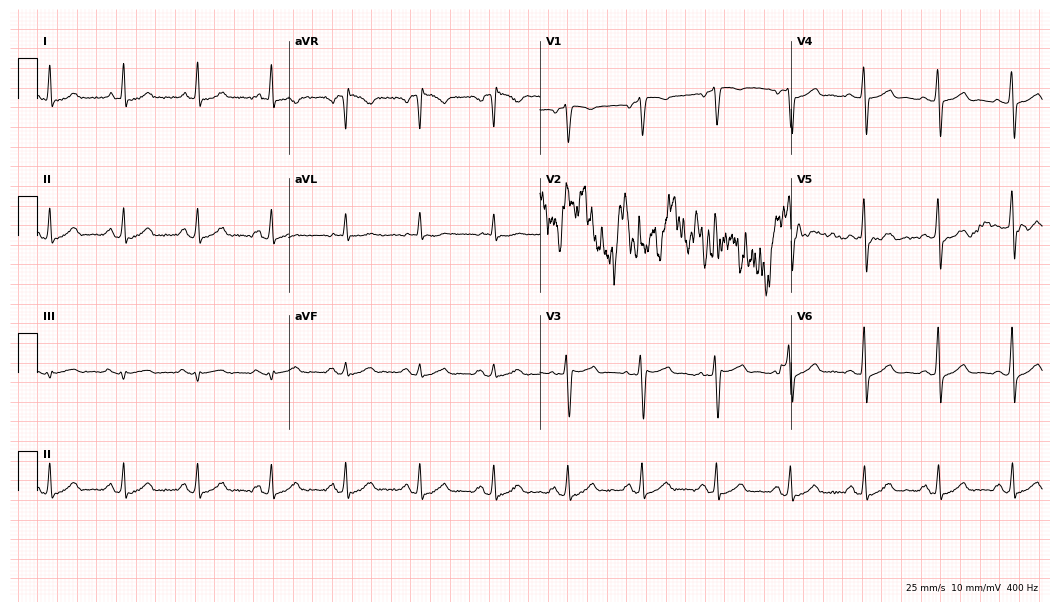
ECG — a 75-year-old female. Labelled as a normal ECG.